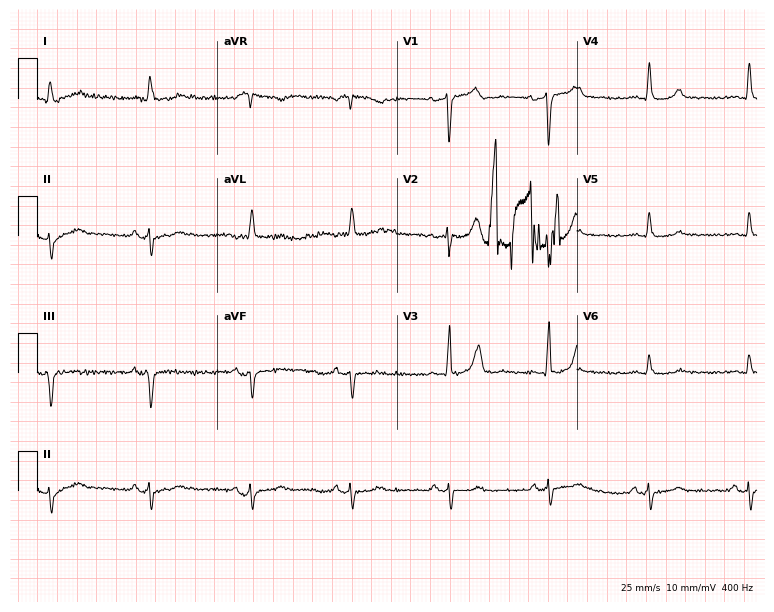
ECG (7.3-second recording at 400 Hz) — a 74-year-old male. Screened for six findings — first-degree AV block, right bundle branch block, left bundle branch block, sinus bradycardia, atrial fibrillation, sinus tachycardia — none is recorded. Findings outside these six are not listed.